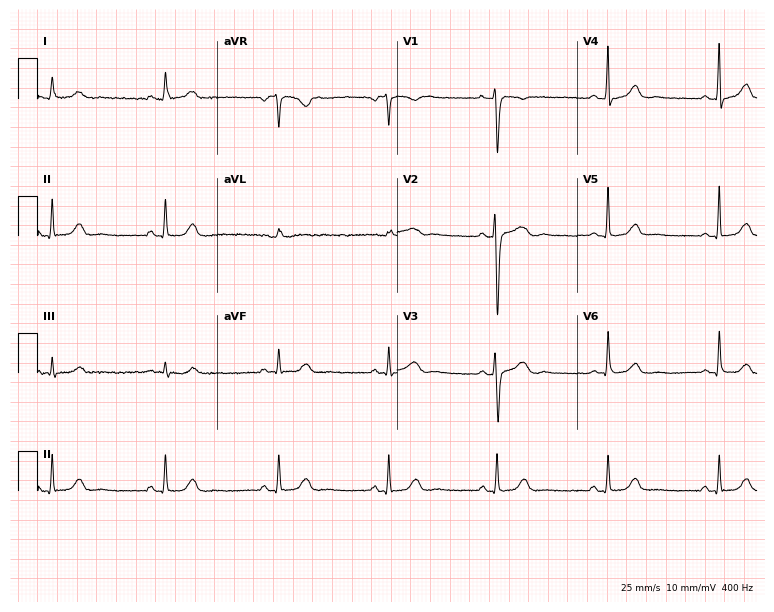
Electrocardiogram (7.3-second recording at 400 Hz), a female patient, 38 years old. Of the six screened findings (first-degree AV block, right bundle branch block, left bundle branch block, sinus bradycardia, atrial fibrillation, sinus tachycardia), none is recorded.